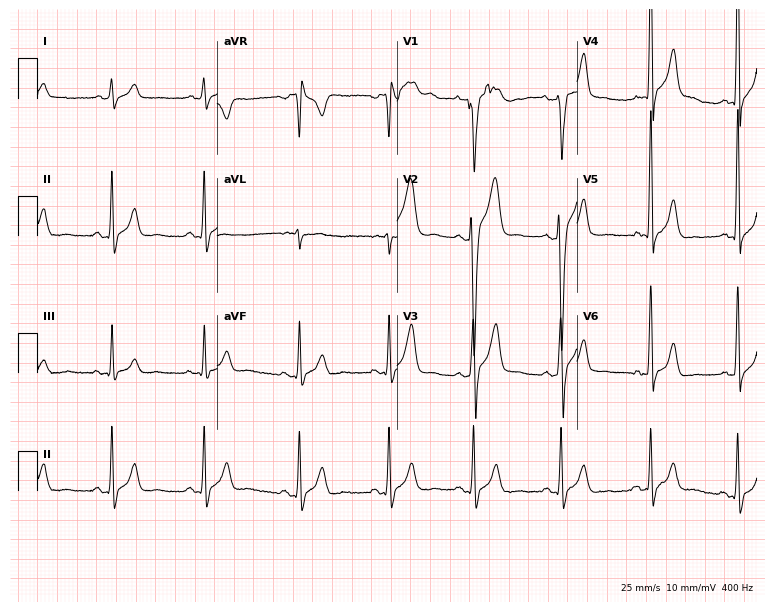
Resting 12-lead electrocardiogram (7.3-second recording at 400 Hz). Patient: a 19-year-old male. Read as a normal ECG.